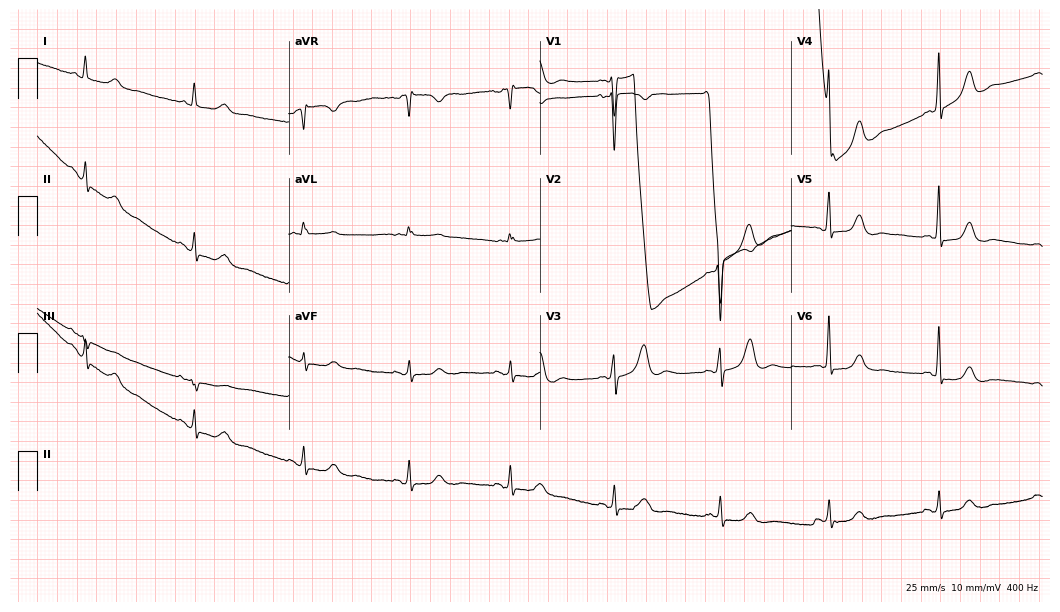
Electrocardiogram (10.2-second recording at 400 Hz), a 47-year-old female. Of the six screened findings (first-degree AV block, right bundle branch block, left bundle branch block, sinus bradycardia, atrial fibrillation, sinus tachycardia), none is recorded.